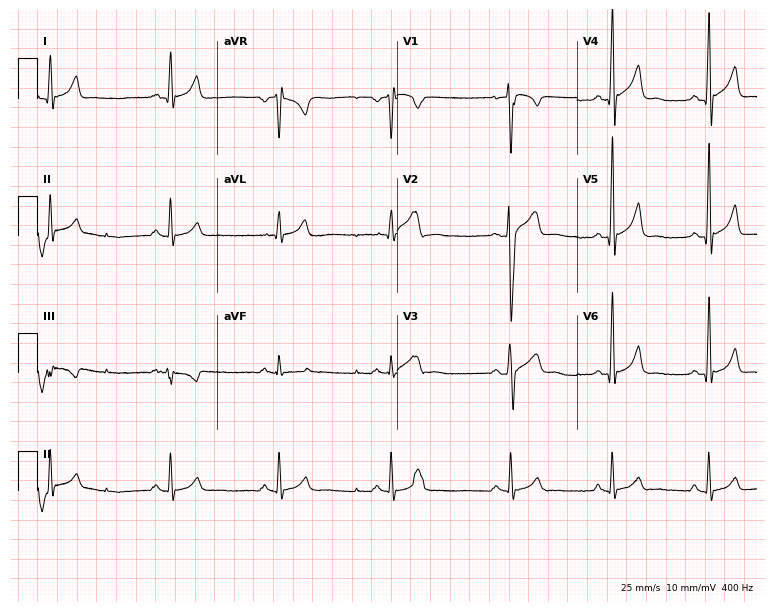
12-lead ECG from a 32-year-old male. No first-degree AV block, right bundle branch block, left bundle branch block, sinus bradycardia, atrial fibrillation or sinus tachycardia recorded for this tracing. Findings outside these six are not listed.